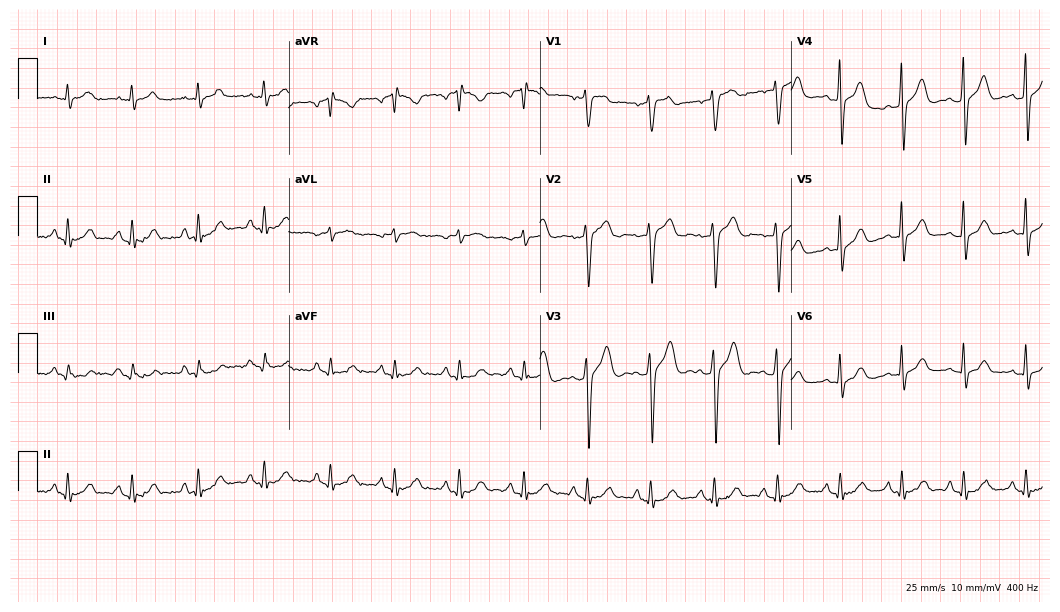
ECG (10.2-second recording at 400 Hz) — a 50-year-old male. Screened for six findings — first-degree AV block, right bundle branch block (RBBB), left bundle branch block (LBBB), sinus bradycardia, atrial fibrillation (AF), sinus tachycardia — none is recorded. Findings outside these six are not listed.